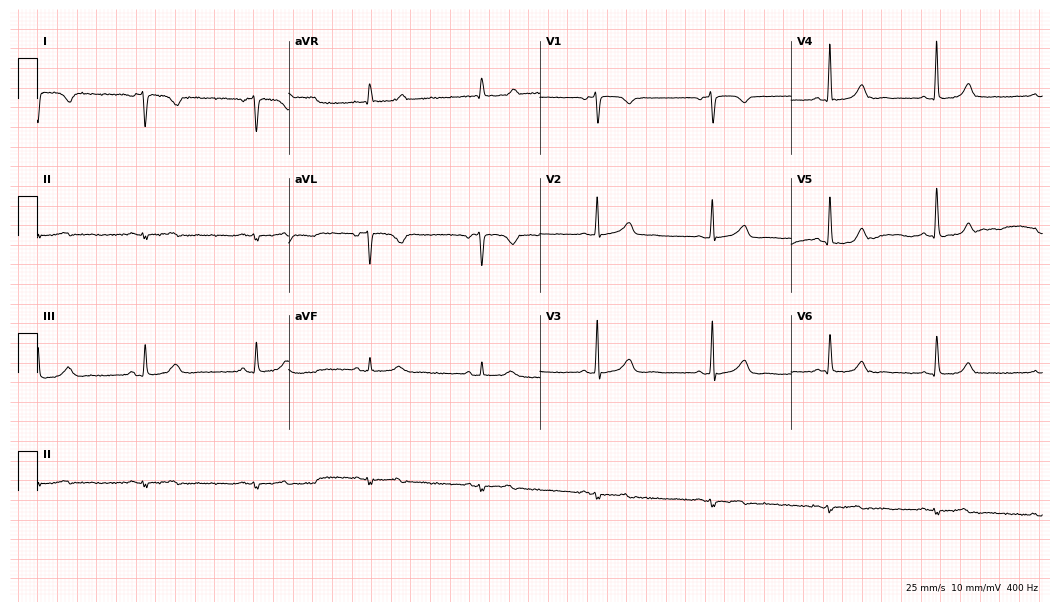
Standard 12-lead ECG recorded from a female, 63 years old. None of these six findings is recorded: first-degree AV block, right bundle branch block (RBBB), left bundle branch block (LBBB), sinus bradycardia, atrial fibrillation (AF), sinus tachycardia. Findings outside these six are not listed.